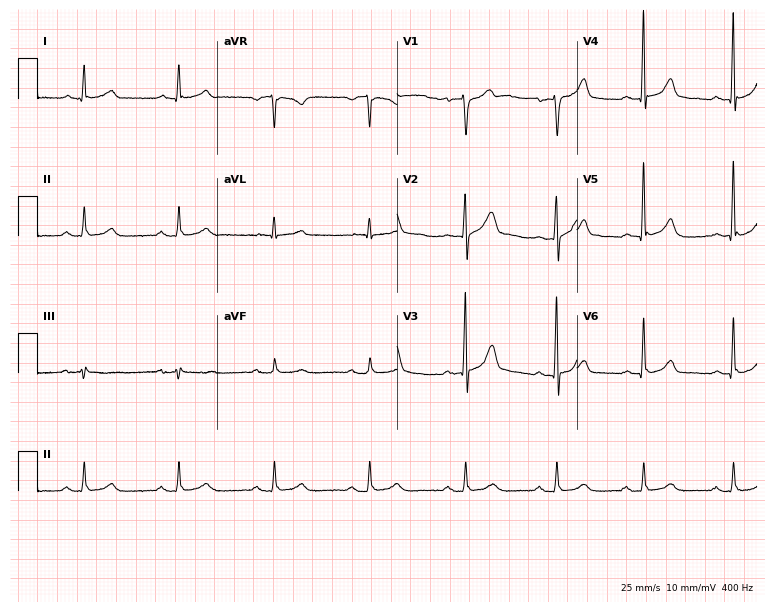
ECG — a male patient, 70 years old. Labelled as a normal ECG.